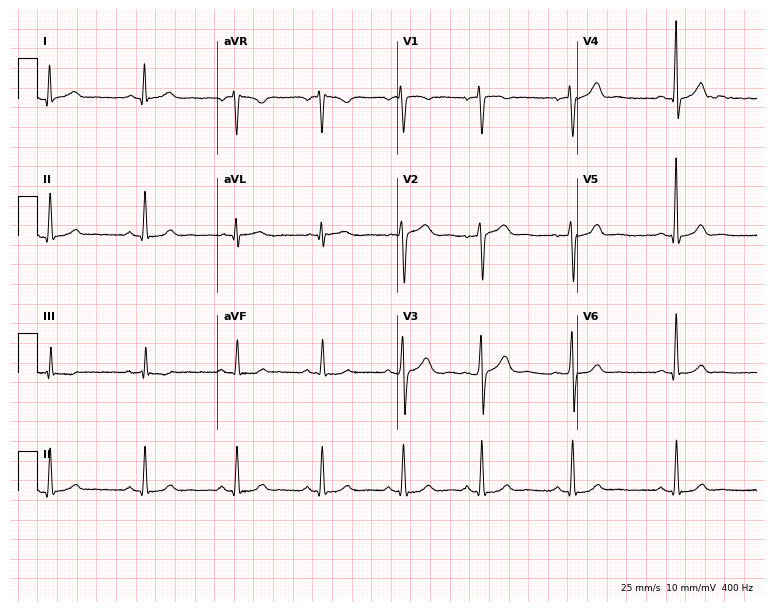
Standard 12-lead ECG recorded from a man, 35 years old. None of these six findings is recorded: first-degree AV block, right bundle branch block, left bundle branch block, sinus bradycardia, atrial fibrillation, sinus tachycardia. Only these six findings were labelled.